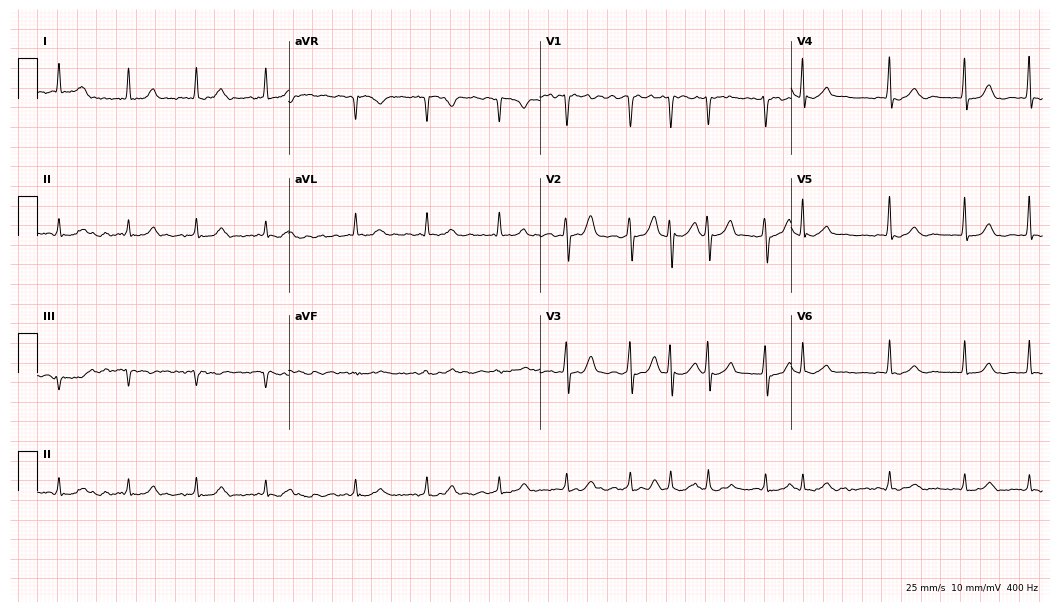
Electrocardiogram, a male, 76 years old. Interpretation includes atrial fibrillation.